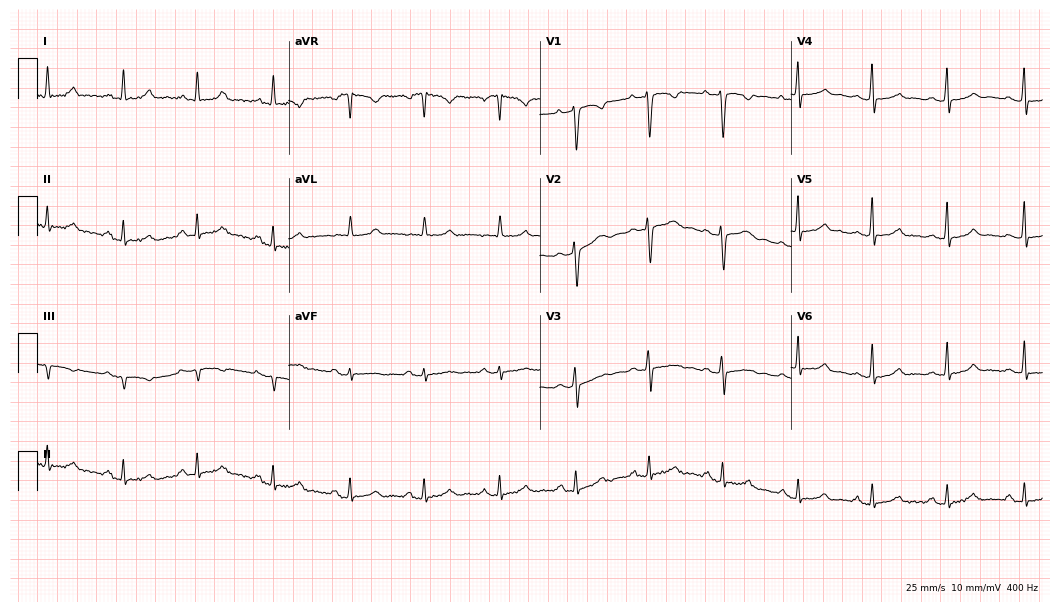
Resting 12-lead electrocardiogram (10.2-second recording at 400 Hz). Patient: a female, 49 years old. Read as a normal ECG.